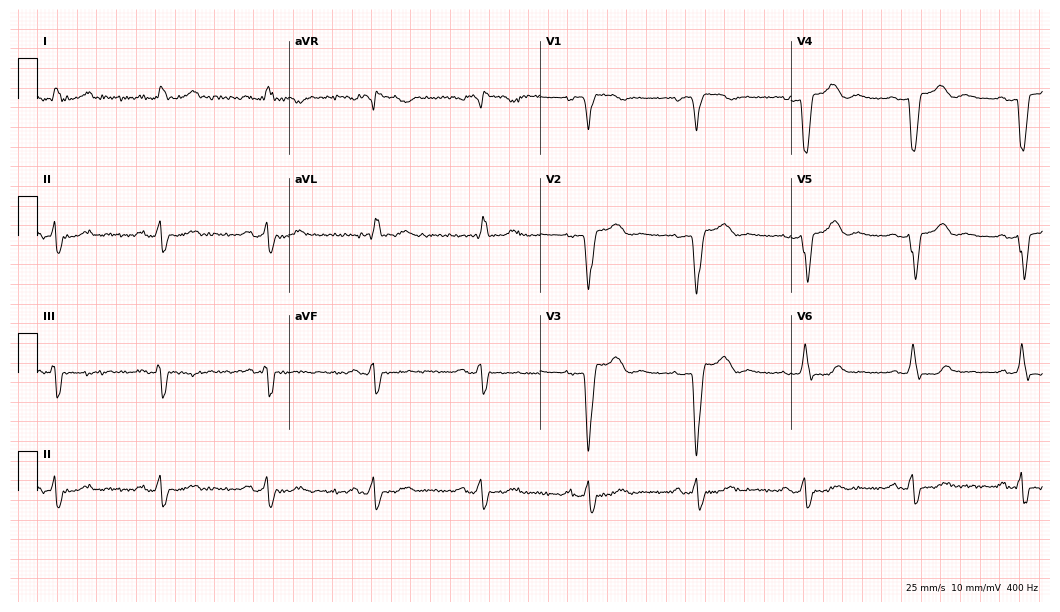
Electrocardiogram, a 62-year-old female. Interpretation includes left bundle branch block.